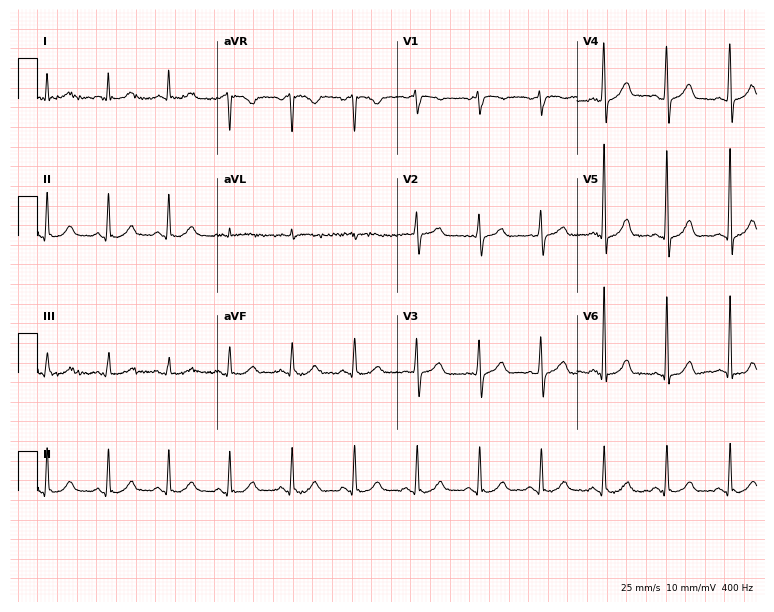
12-lead ECG from a male patient, 72 years old (7.3-second recording at 400 Hz). Recorded interpretation: within normal limits.